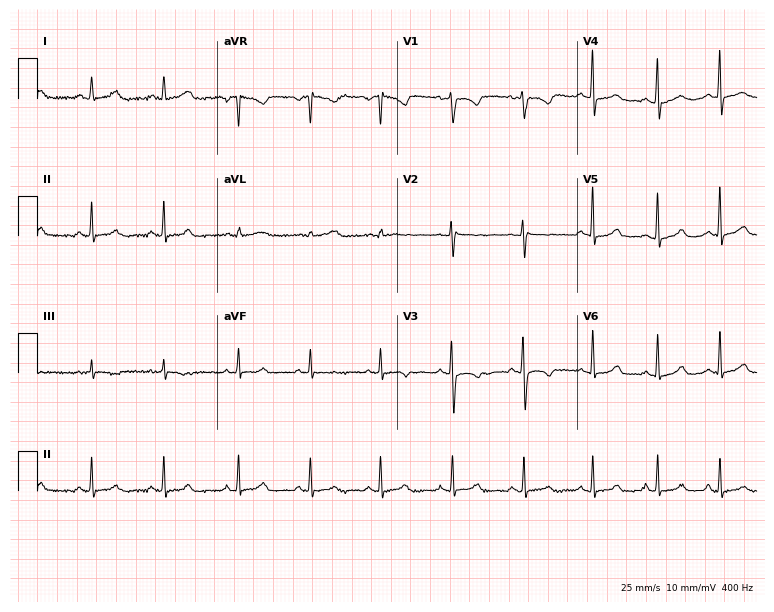
Standard 12-lead ECG recorded from a female, 31 years old. None of these six findings is recorded: first-degree AV block, right bundle branch block, left bundle branch block, sinus bradycardia, atrial fibrillation, sinus tachycardia. Findings outside these six are not listed.